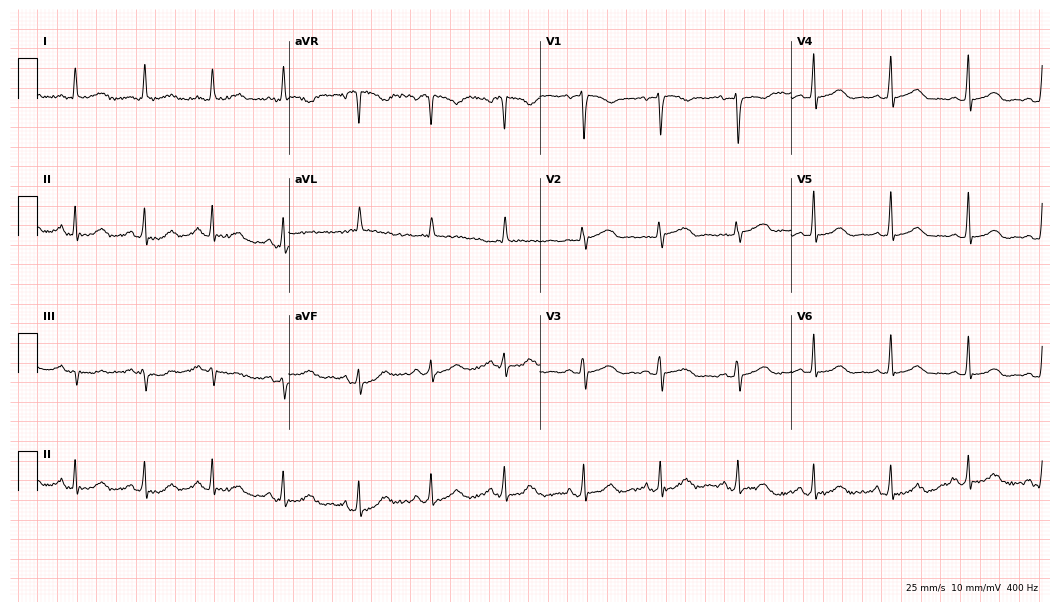
Standard 12-lead ECG recorded from a 65-year-old woman. Read as a normal ECG.